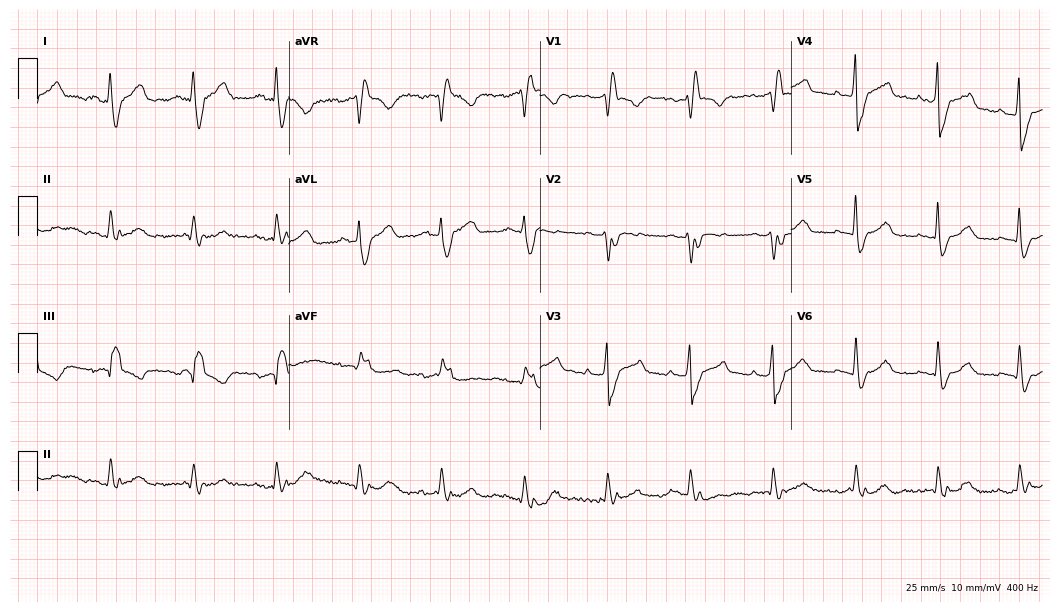
ECG (10.2-second recording at 400 Hz) — a 57-year-old man. Findings include right bundle branch block.